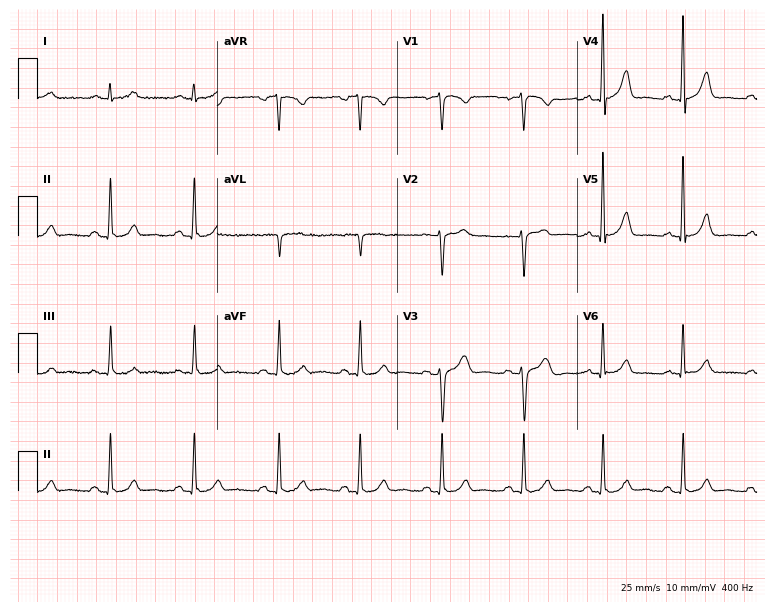
Electrocardiogram, a male patient, 44 years old. Overall reading on record: normal ECG.